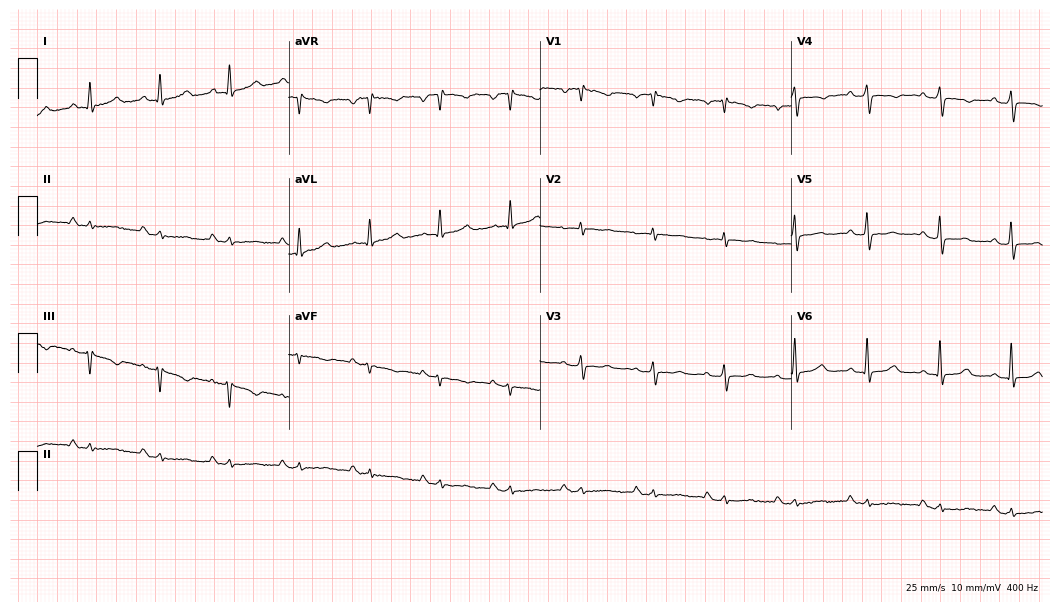
12-lead ECG (10.2-second recording at 400 Hz) from a 65-year-old woman. Screened for six findings — first-degree AV block, right bundle branch block, left bundle branch block, sinus bradycardia, atrial fibrillation, sinus tachycardia — none is recorded.